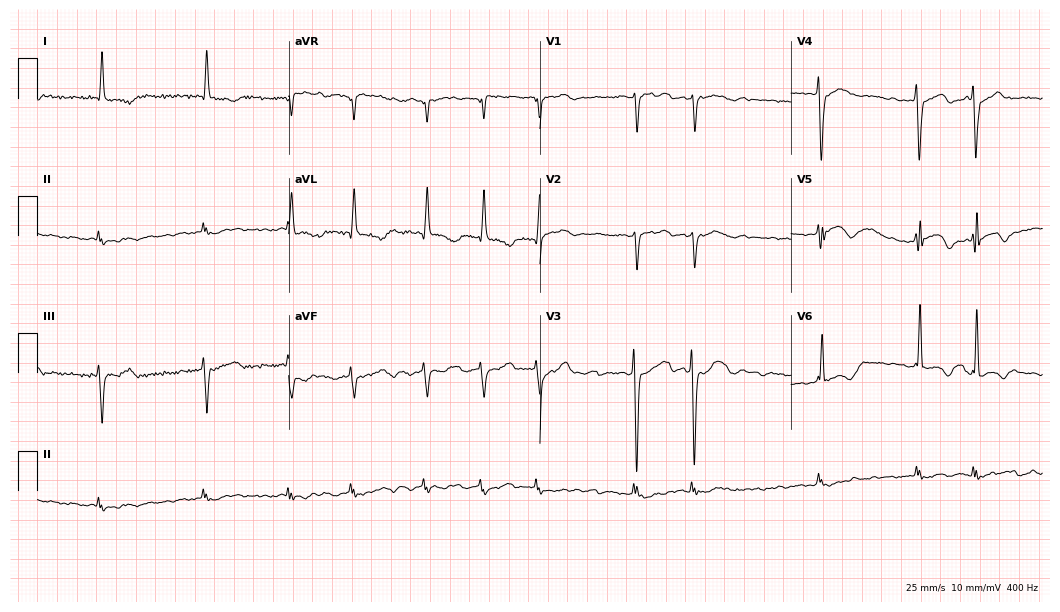
Electrocardiogram (10.2-second recording at 400 Hz), a 68-year-old female patient. Interpretation includes atrial fibrillation.